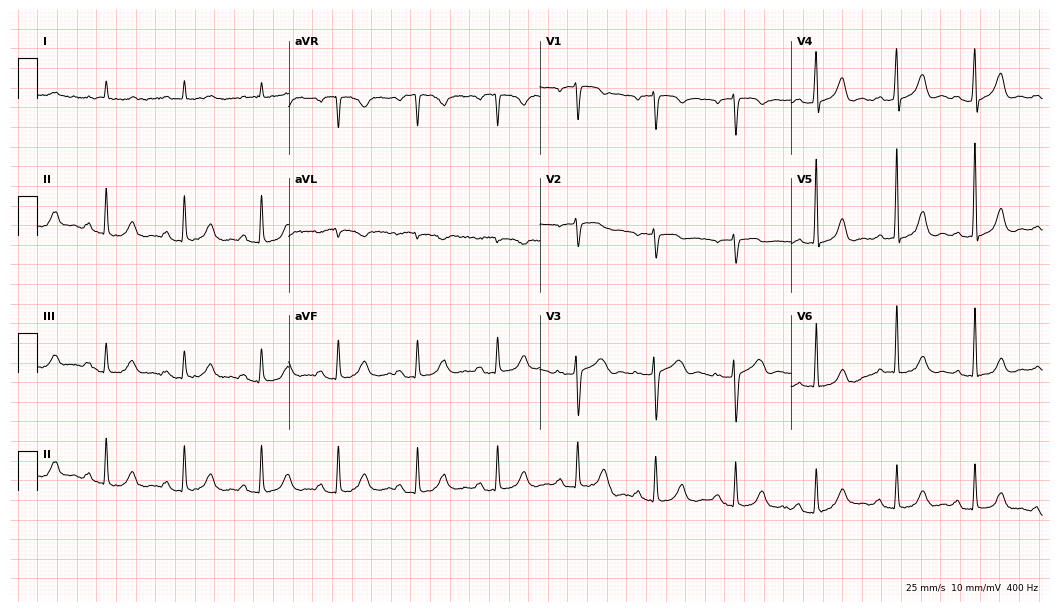
12-lead ECG (10.2-second recording at 400 Hz) from an 84-year-old female. Screened for six findings — first-degree AV block, right bundle branch block, left bundle branch block, sinus bradycardia, atrial fibrillation, sinus tachycardia — none is recorded. Only these six findings were labelled.